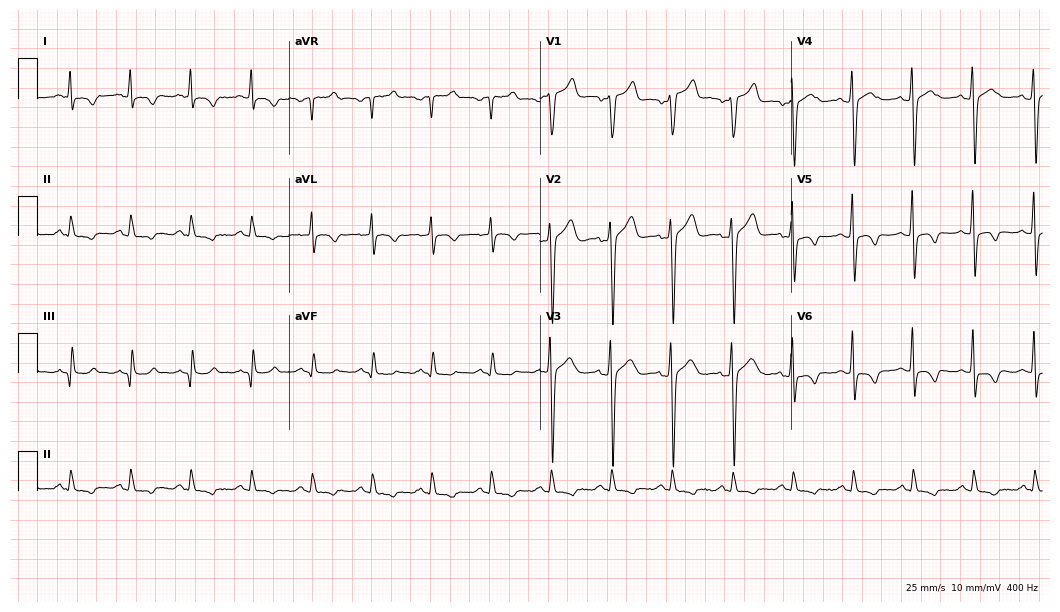
Standard 12-lead ECG recorded from a male, 42 years old (10.2-second recording at 400 Hz). None of these six findings is recorded: first-degree AV block, right bundle branch block, left bundle branch block, sinus bradycardia, atrial fibrillation, sinus tachycardia.